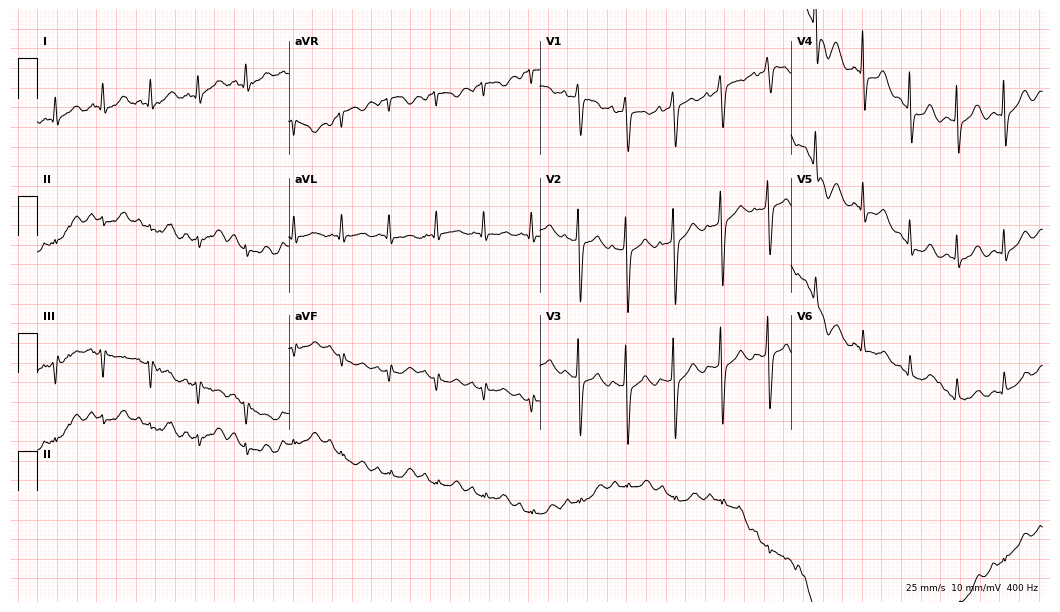
Resting 12-lead electrocardiogram. Patient: a female, 70 years old. None of these six findings is recorded: first-degree AV block, right bundle branch block, left bundle branch block, sinus bradycardia, atrial fibrillation, sinus tachycardia. Findings outside these six are not listed.